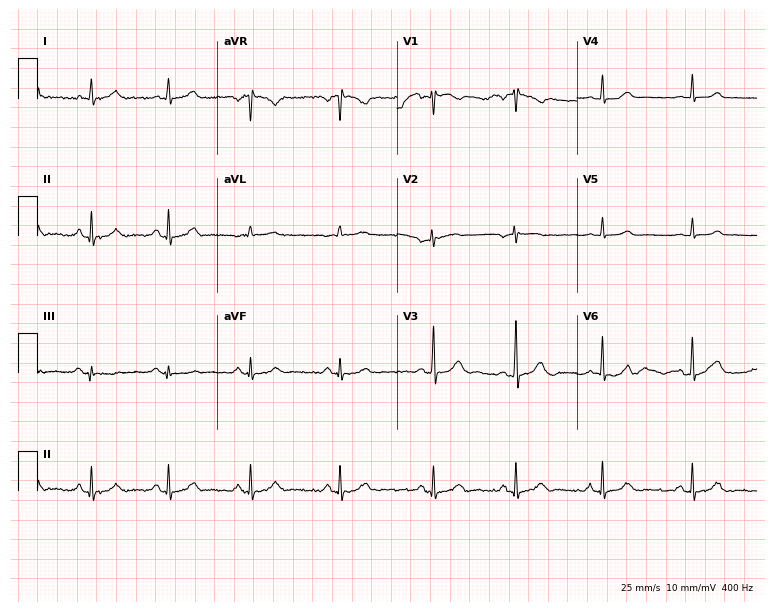
Resting 12-lead electrocardiogram (7.3-second recording at 400 Hz). Patient: a female, 58 years old. None of these six findings is recorded: first-degree AV block, right bundle branch block, left bundle branch block, sinus bradycardia, atrial fibrillation, sinus tachycardia. Findings outside these six are not listed.